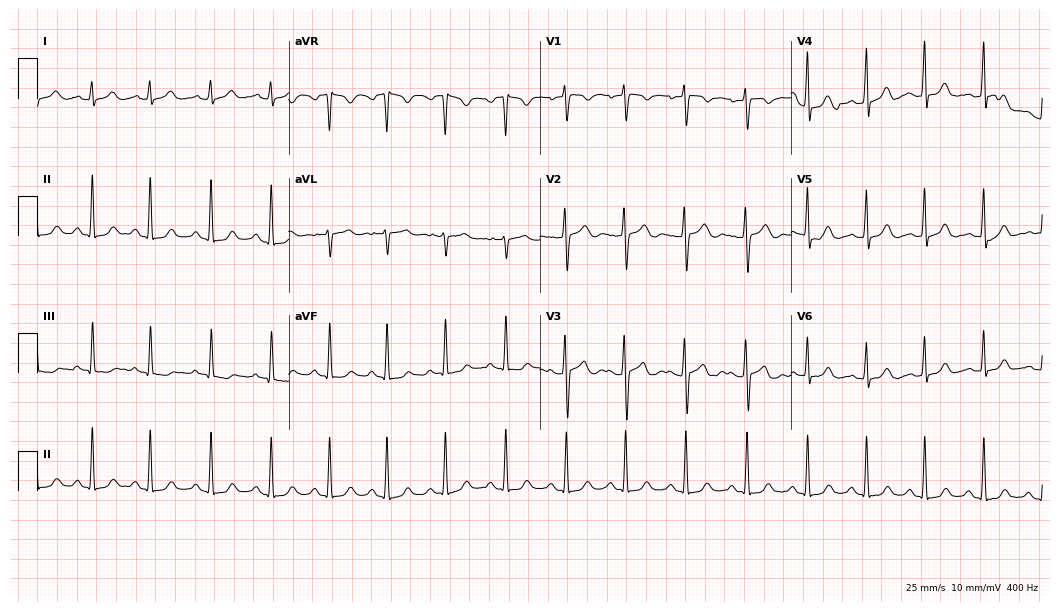
Resting 12-lead electrocardiogram (10.2-second recording at 400 Hz). Patient: a 19-year-old woman. Read as a normal ECG.